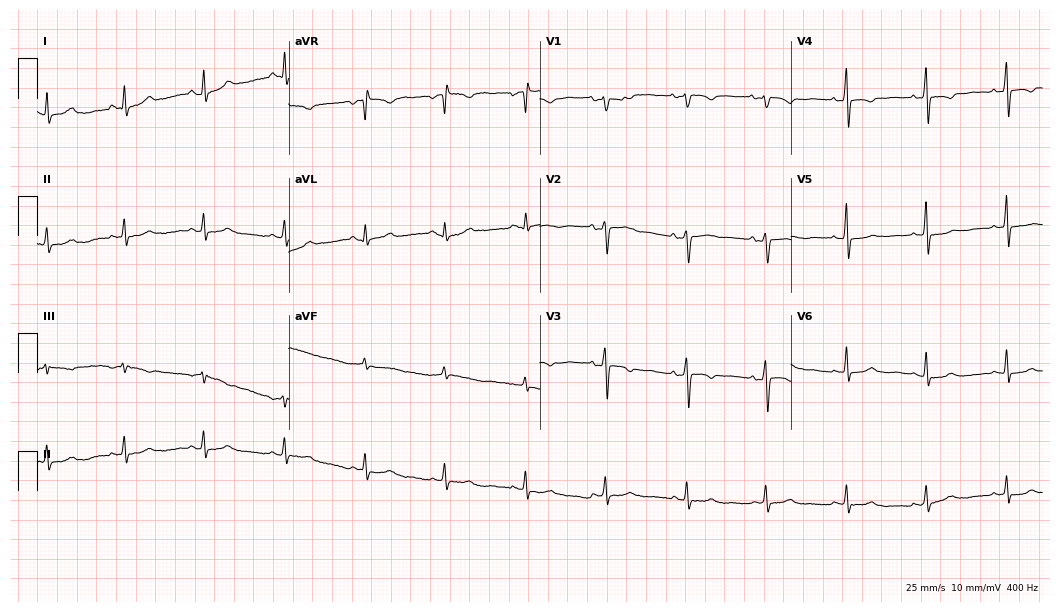
12-lead ECG from a female, 35 years old (10.2-second recording at 400 Hz). No first-degree AV block, right bundle branch block, left bundle branch block, sinus bradycardia, atrial fibrillation or sinus tachycardia recorded for this tracing.